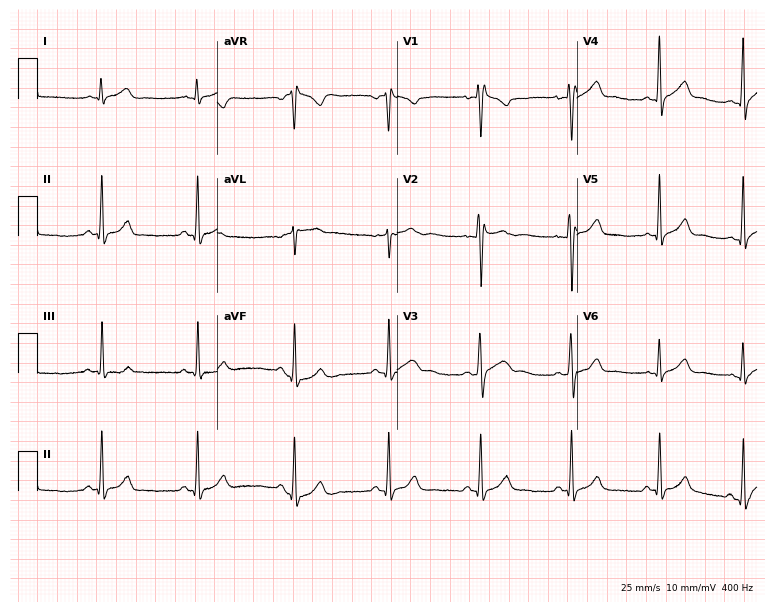
ECG (7.3-second recording at 400 Hz) — a 33-year-old male. Screened for six findings — first-degree AV block, right bundle branch block, left bundle branch block, sinus bradycardia, atrial fibrillation, sinus tachycardia — none is recorded.